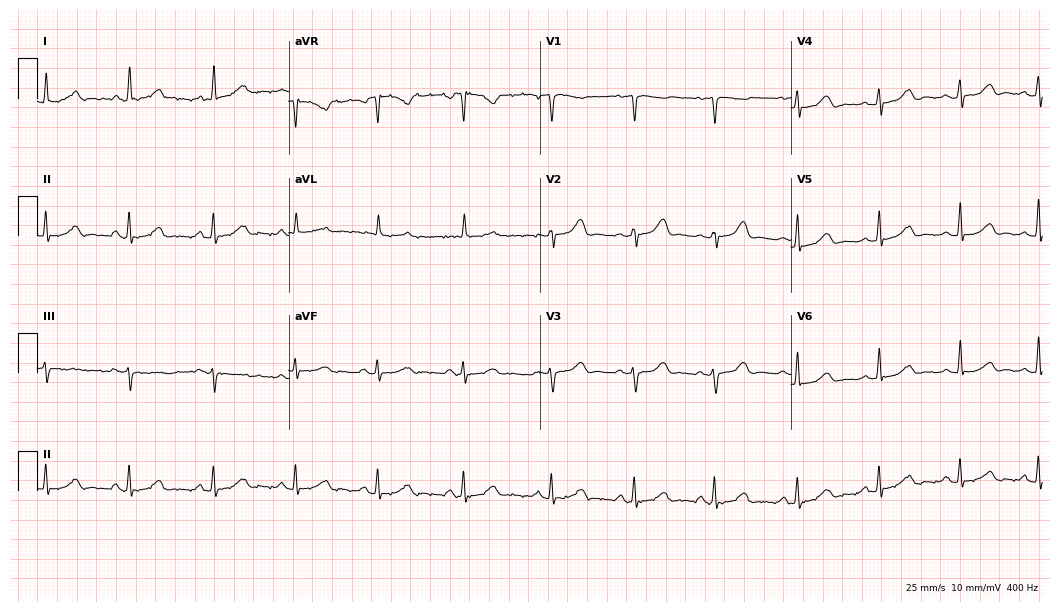
Electrocardiogram, a woman, 54 years old. Overall reading on record: normal ECG.